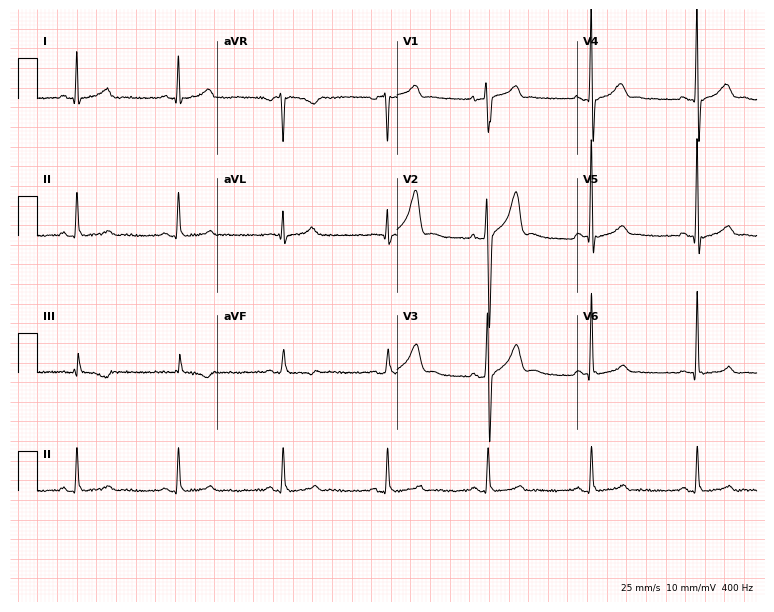
Resting 12-lead electrocardiogram. Patient: a 36-year-old male. Read as a normal ECG.